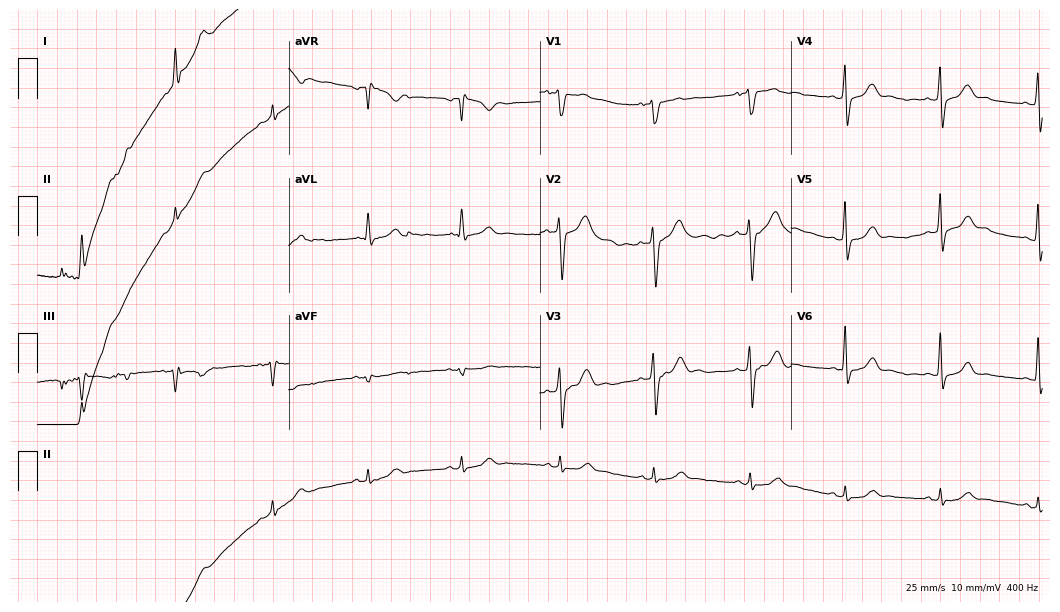
Standard 12-lead ECG recorded from a 53-year-old male (10.2-second recording at 400 Hz). Read as a normal ECG.